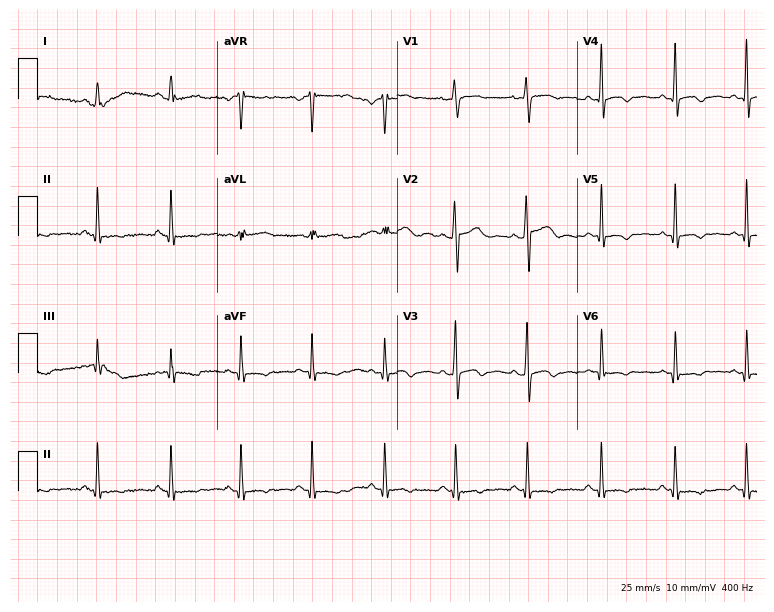
Electrocardiogram (7.3-second recording at 400 Hz), a woman, 36 years old. Of the six screened findings (first-degree AV block, right bundle branch block (RBBB), left bundle branch block (LBBB), sinus bradycardia, atrial fibrillation (AF), sinus tachycardia), none is recorded.